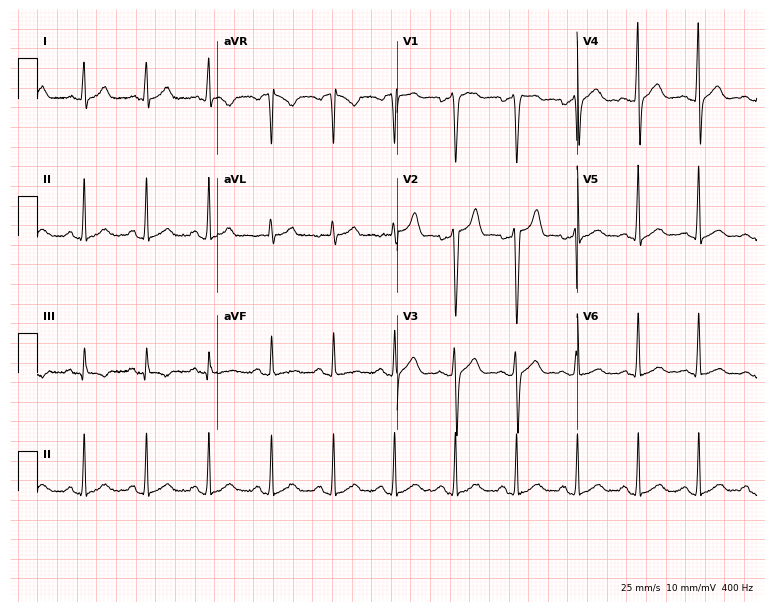
ECG — a male patient, 42 years old. Screened for six findings — first-degree AV block, right bundle branch block (RBBB), left bundle branch block (LBBB), sinus bradycardia, atrial fibrillation (AF), sinus tachycardia — none is recorded. Findings outside these six are not listed.